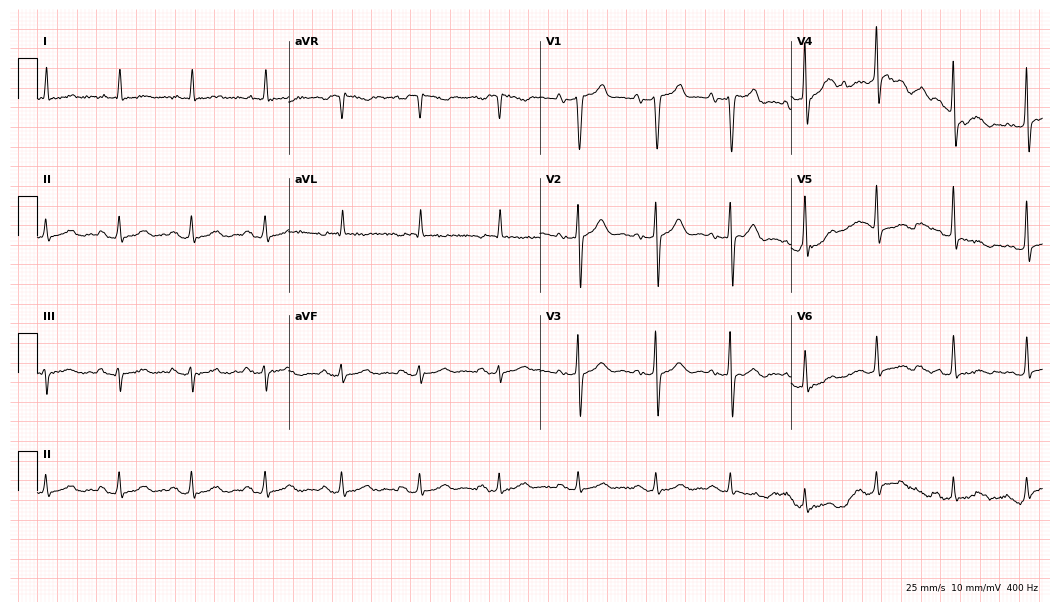
Resting 12-lead electrocardiogram. Patient: a male, 76 years old. None of these six findings is recorded: first-degree AV block, right bundle branch block, left bundle branch block, sinus bradycardia, atrial fibrillation, sinus tachycardia.